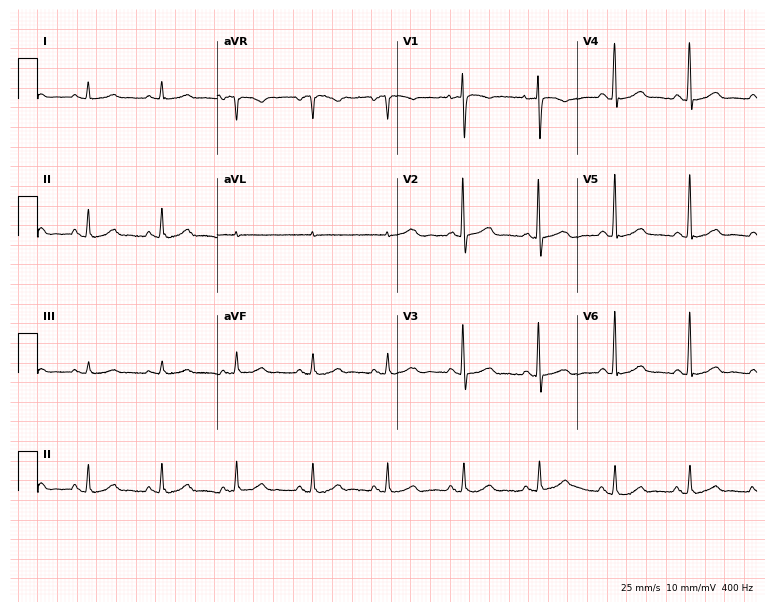
12-lead ECG from a woman, 81 years old (7.3-second recording at 400 Hz). Recorded interpretation: within normal limits.